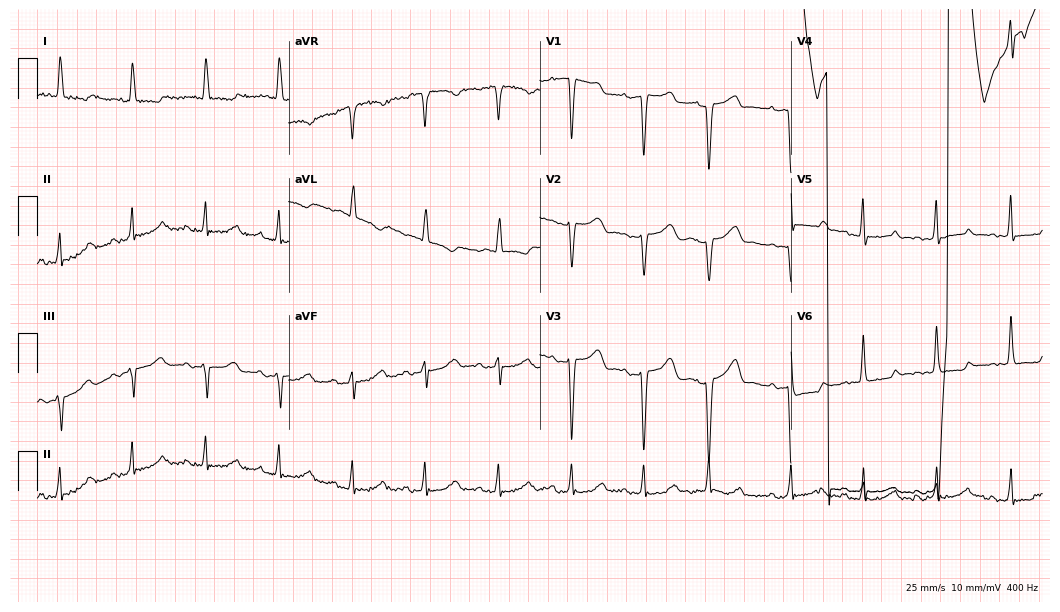
Electrocardiogram, a 75-year-old female. Of the six screened findings (first-degree AV block, right bundle branch block, left bundle branch block, sinus bradycardia, atrial fibrillation, sinus tachycardia), none is recorded. Other findings, if any, are not listed.